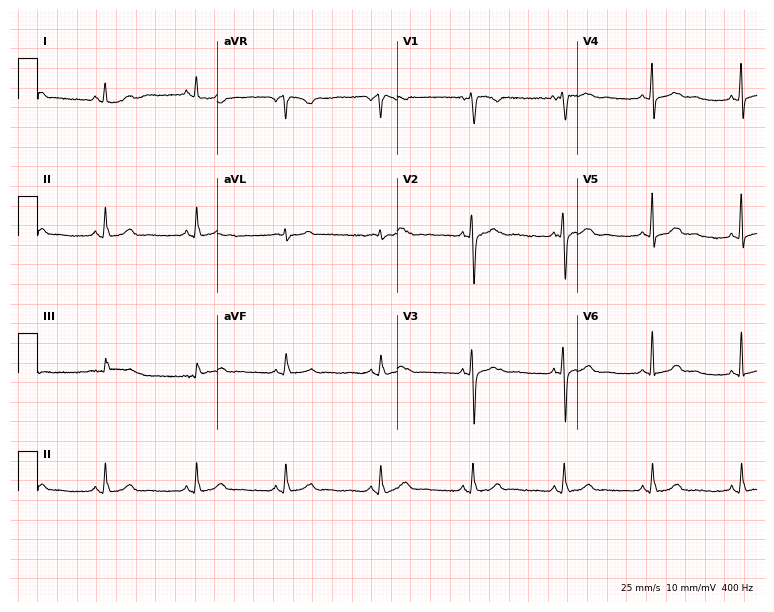
Resting 12-lead electrocardiogram. Patient: a female, 30 years old. Read as a normal ECG.